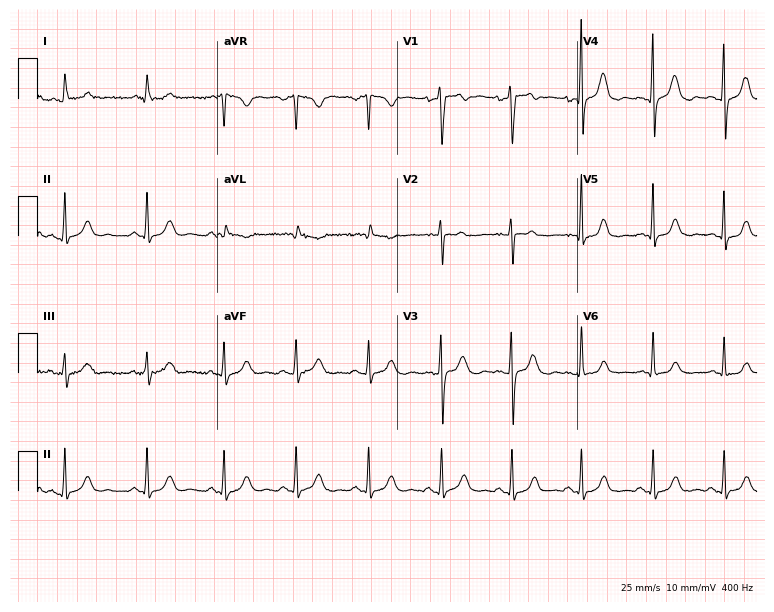
Electrocardiogram (7.3-second recording at 400 Hz), a male patient, 35 years old. Of the six screened findings (first-degree AV block, right bundle branch block, left bundle branch block, sinus bradycardia, atrial fibrillation, sinus tachycardia), none is recorded.